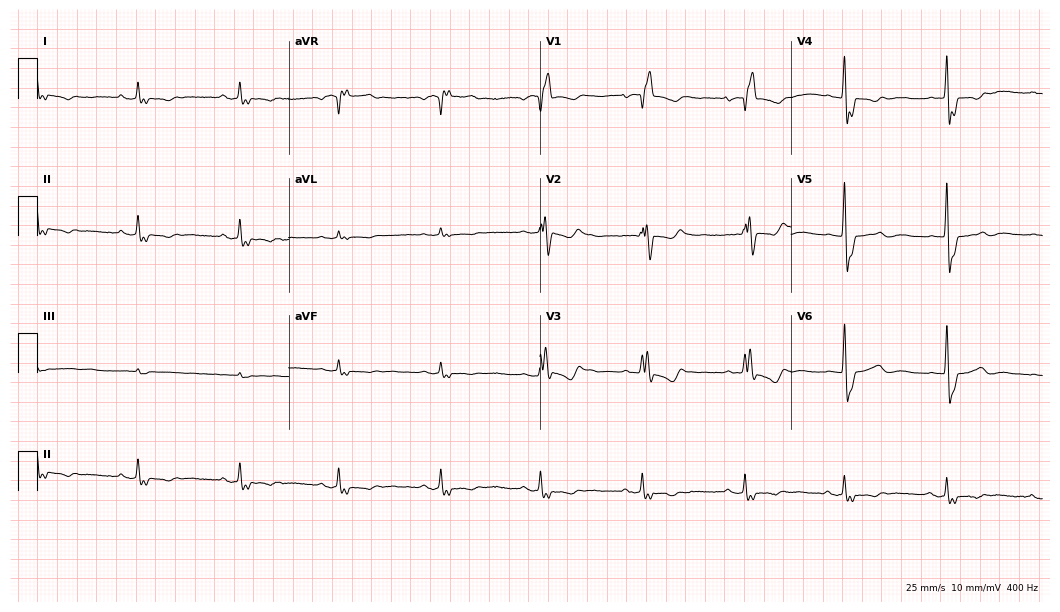
Standard 12-lead ECG recorded from a female patient, 83 years old (10.2-second recording at 400 Hz). The tracing shows right bundle branch block.